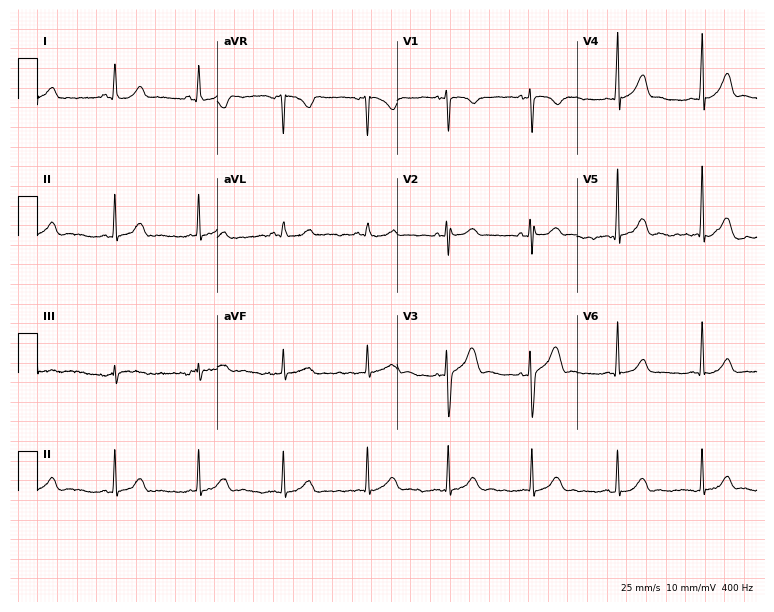
Electrocardiogram, a 32-year-old female patient. Overall reading on record: normal ECG.